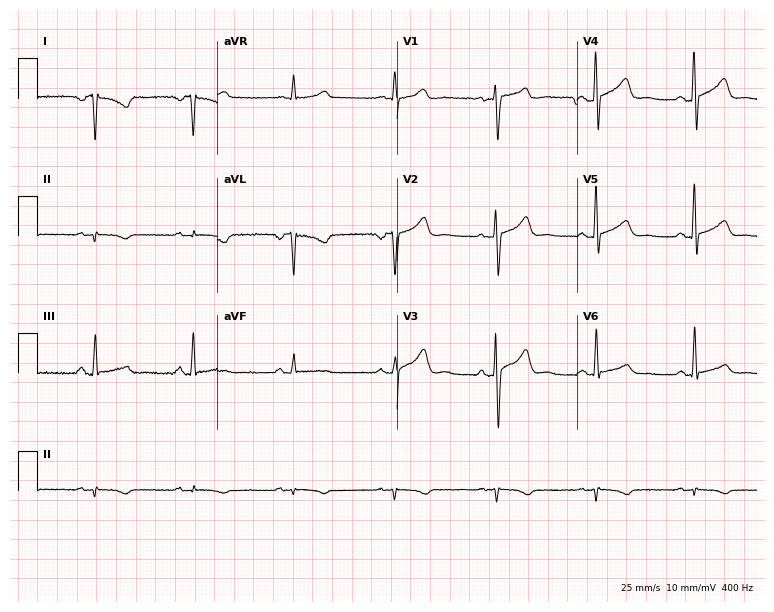
Standard 12-lead ECG recorded from a 48-year-old female. None of these six findings is recorded: first-degree AV block, right bundle branch block, left bundle branch block, sinus bradycardia, atrial fibrillation, sinus tachycardia. Findings outside these six are not listed.